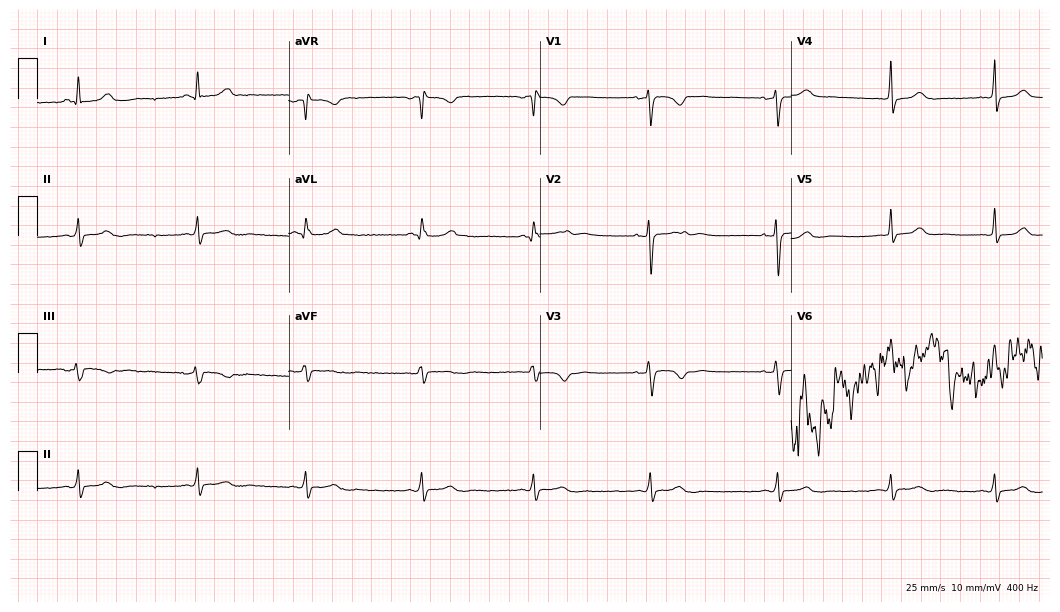
12-lead ECG from a 23-year-old female patient. Recorded interpretation: within normal limits.